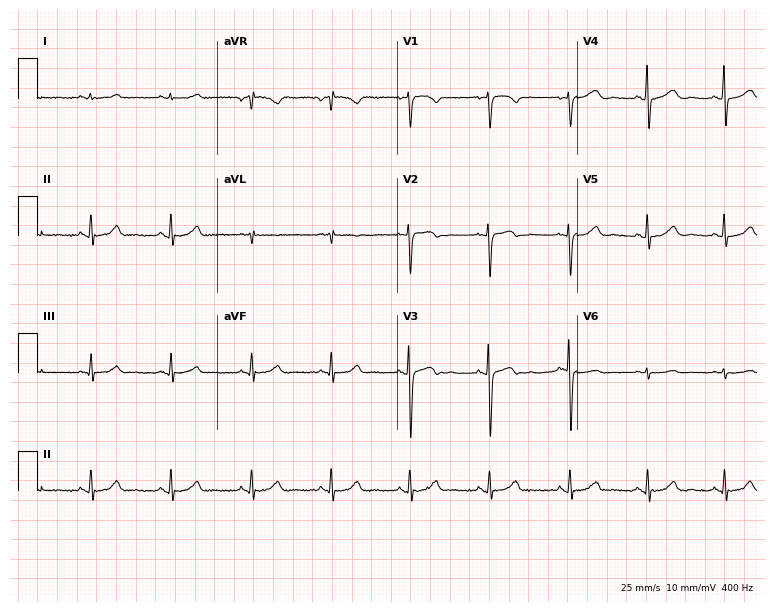
Standard 12-lead ECG recorded from a 49-year-old female (7.3-second recording at 400 Hz). Read as a normal ECG.